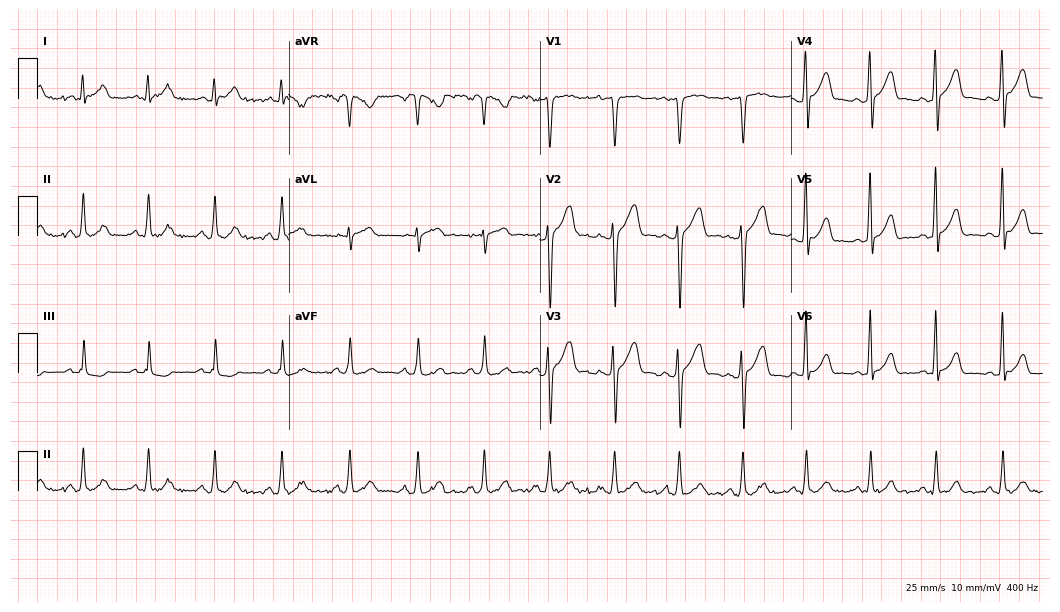
12-lead ECG from a 37-year-old male. Labelled as a normal ECG.